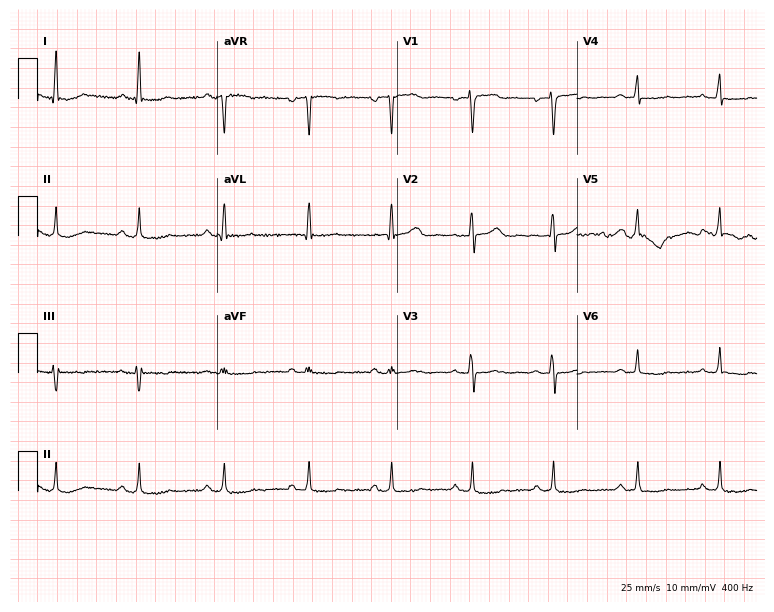
Electrocardiogram (7.3-second recording at 400 Hz), a female patient, 57 years old. Of the six screened findings (first-degree AV block, right bundle branch block, left bundle branch block, sinus bradycardia, atrial fibrillation, sinus tachycardia), none is recorded.